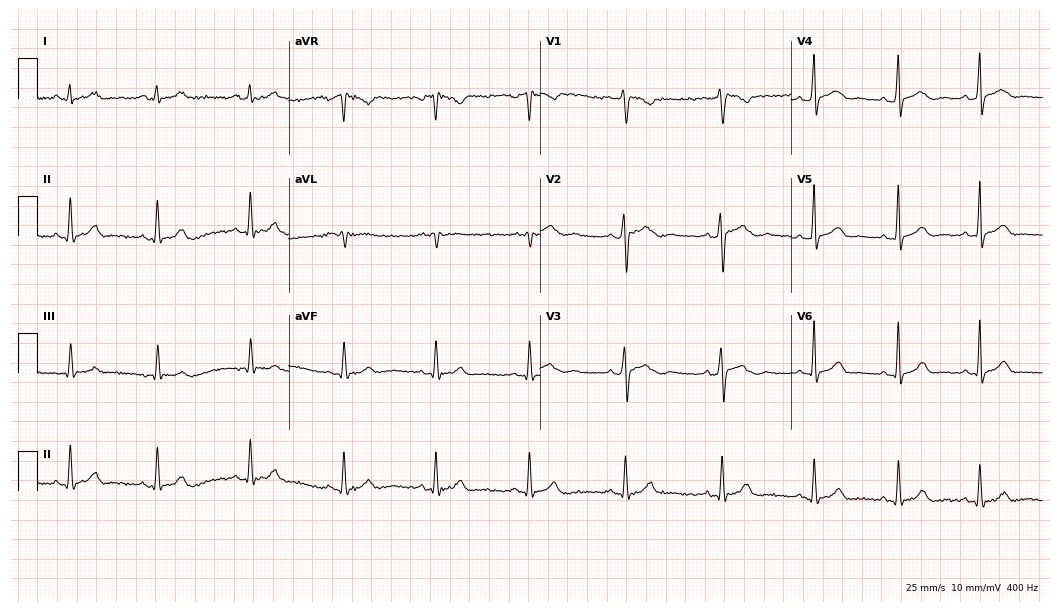
Standard 12-lead ECG recorded from a man, 32 years old (10.2-second recording at 400 Hz). None of these six findings is recorded: first-degree AV block, right bundle branch block, left bundle branch block, sinus bradycardia, atrial fibrillation, sinus tachycardia.